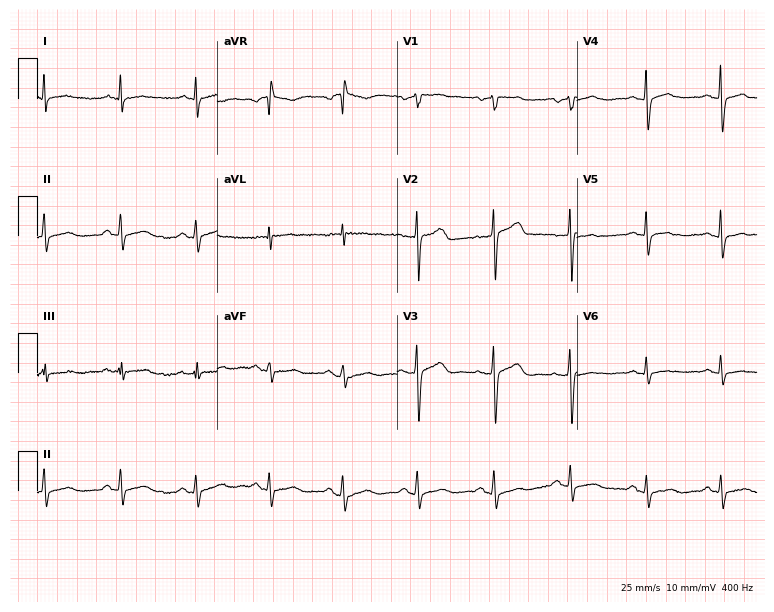
12-lead ECG from a woman, 71 years old. Labelled as a normal ECG.